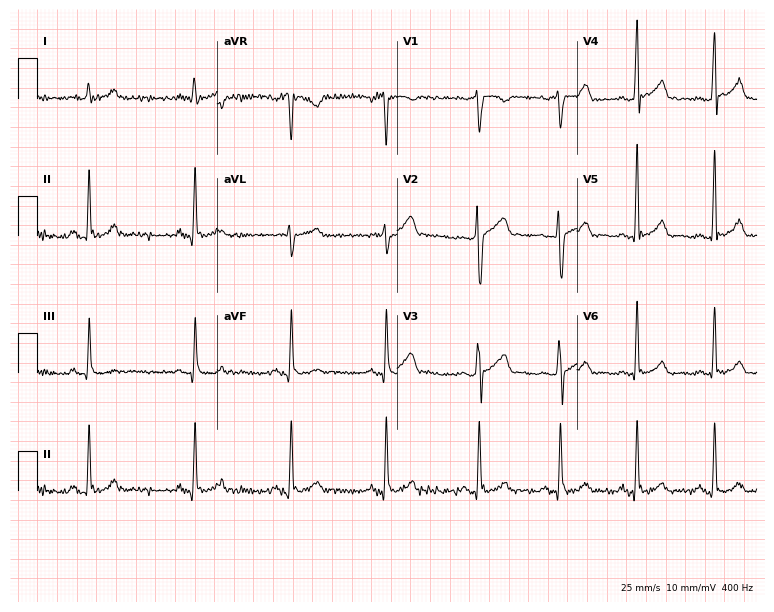
ECG (7.3-second recording at 400 Hz) — a 30-year-old male patient. Screened for six findings — first-degree AV block, right bundle branch block, left bundle branch block, sinus bradycardia, atrial fibrillation, sinus tachycardia — none is recorded. Findings outside these six are not listed.